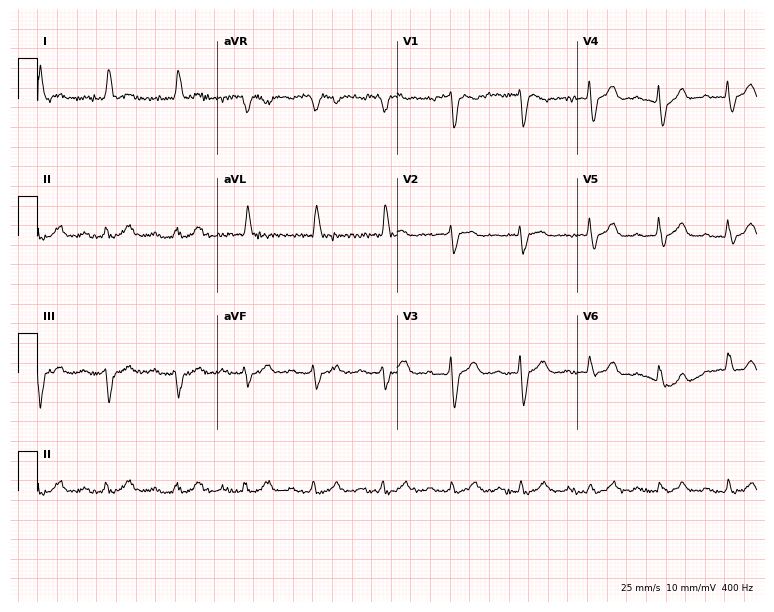
Electrocardiogram (7.3-second recording at 400 Hz), a 72-year-old male. Of the six screened findings (first-degree AV block, right bundle branch block, left bundle branch block, sinus bradycardia, atrial fibrillation, sinus tachycardia), none is recorded. Only these six findings were labelled.